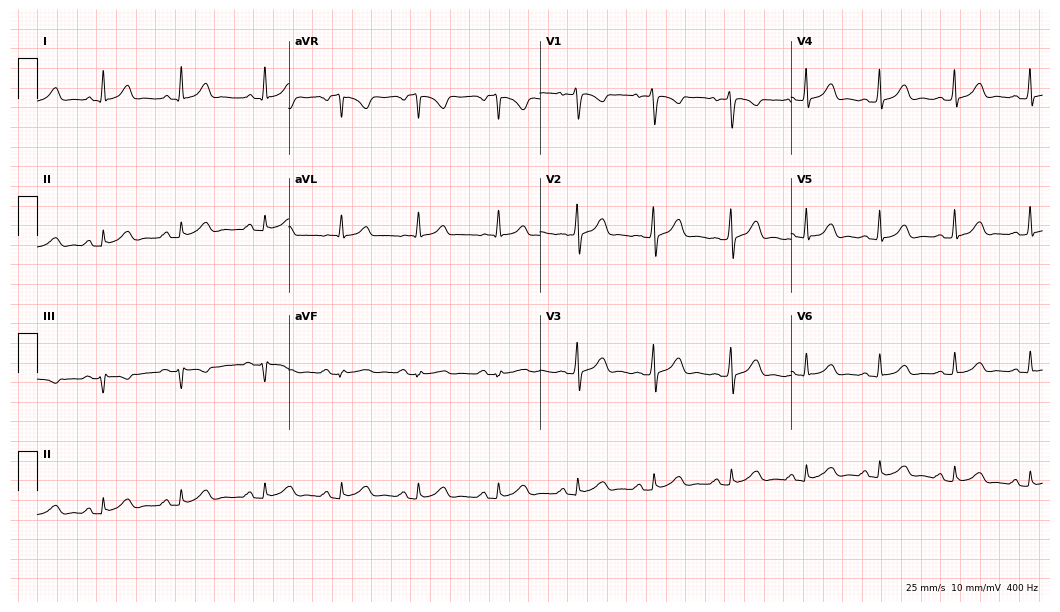
Resting 12-lead electrocardiogram (10.2-second recording at 400 Hz). Patient: a female, 34 years old. Read as a normal ECG.